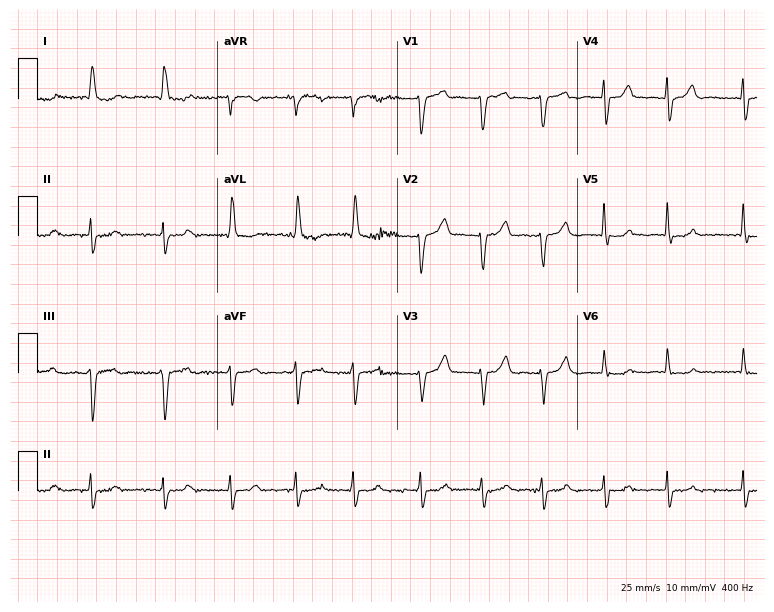
Electrocardiogram, an 84-year-old female. Interpretation includes atrial fibrillation.